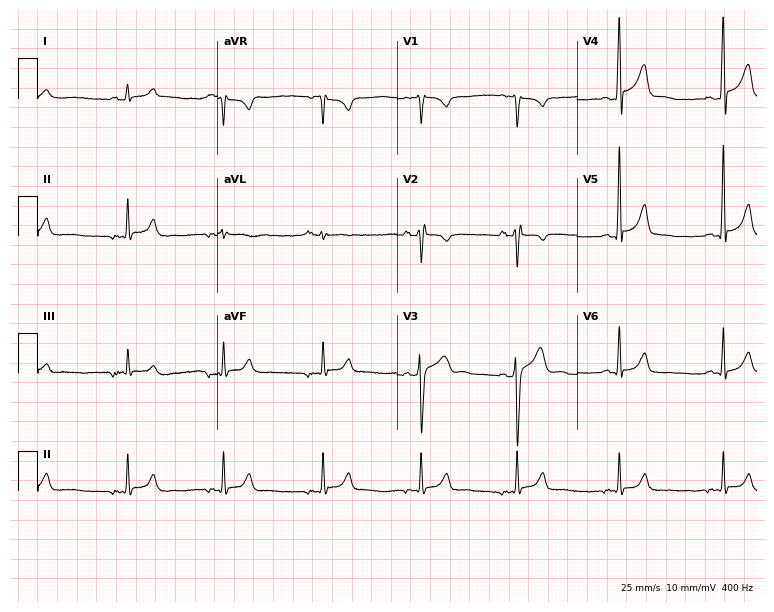
ECG — a male, 24 years old. Screened for six findings — first-degree AV block, right bundle branch block, left bundle branch block, sinus bradycardia, atrial fibrillation, sinus tachycardia — none is recorded.